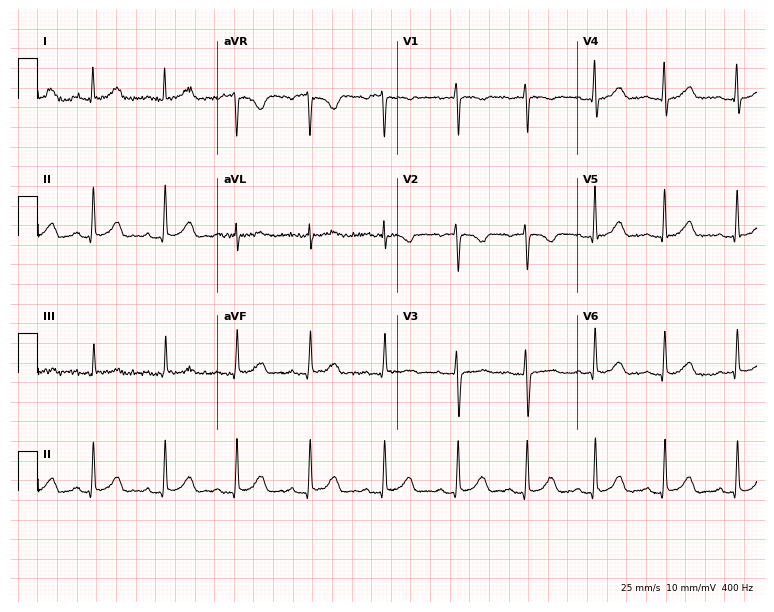
Standard 12-lead ECG recorded from a female, 38 years old (7.3-second recording at 400 Hz). Read as a normal ECG.